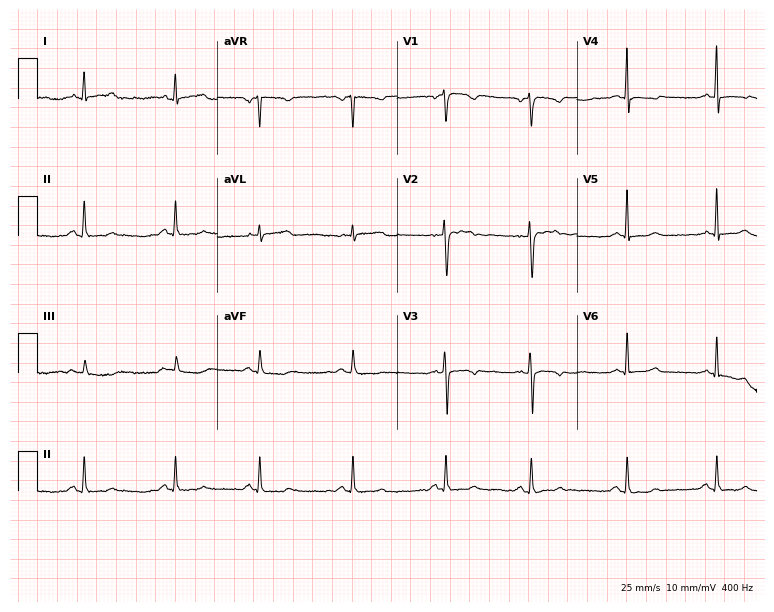
ECG — a female patient, 30 years old. Screened for six findings — first-degree AV block, right bundle branch block, left bundle branch block, sinus bradycardia, atrial fibrillation, sinus tachycardia — none is recorded.